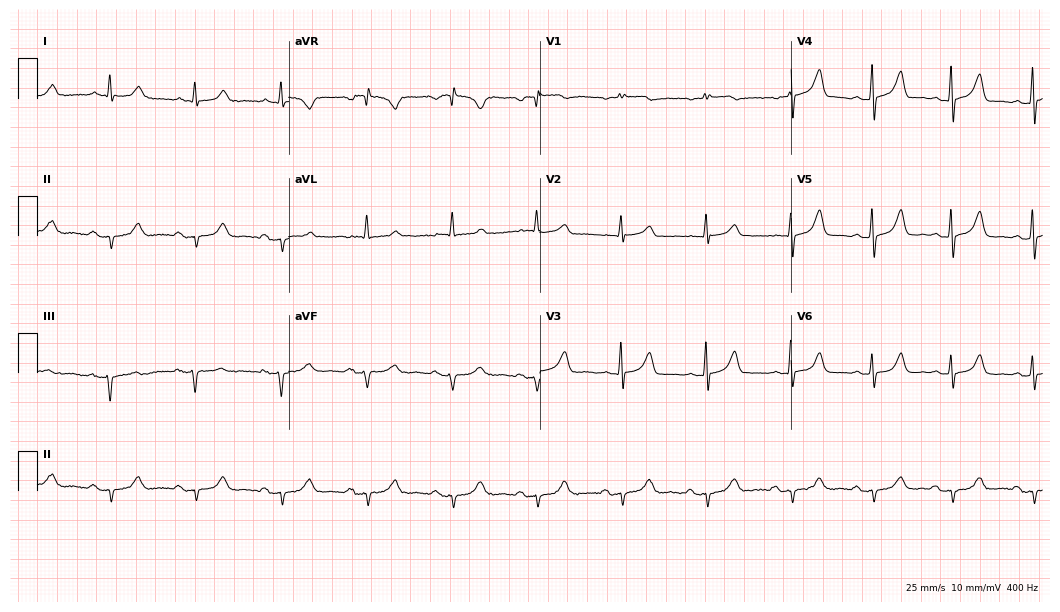
12-lead ECG from a 78-year-old female patient (10.2-second recording at 400 Hz). No first-degree AV block, right bundle branch block, left bundle branch block, sinus bradycardia, atrial fibrillation or sinus tachycardia recorded for this tracing. Other findings, if any, are not listed.